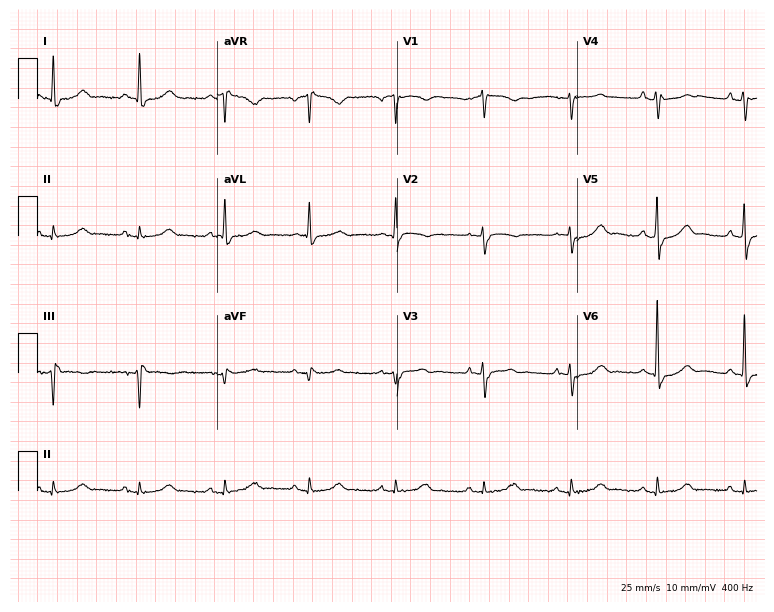
Electrocardiogram (7.3-second recording at 400 Hz), a 78-year-old male. Overall reading on record: normal ECG.